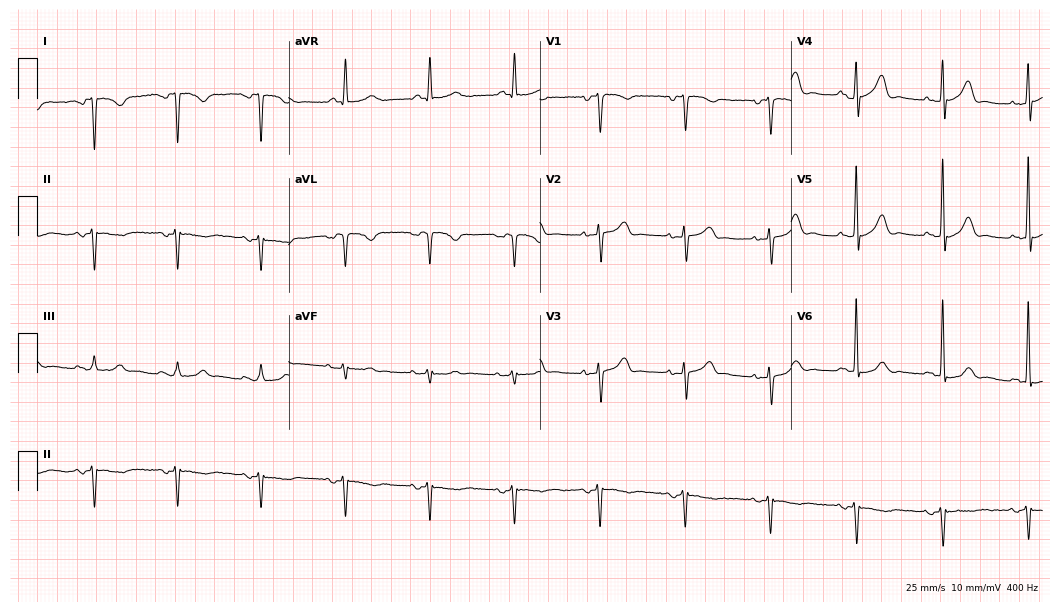
Electrocardiogram (10.2-second recording at 400 Hz), a 73-year-old male. Of the six screened findings (first-degree AV block, right bundle branch block, left bundle branch block, sinus bradycardia, atrial fibrillation, sinus tachycardia), none is recorded. Findings outside these six are not listed.